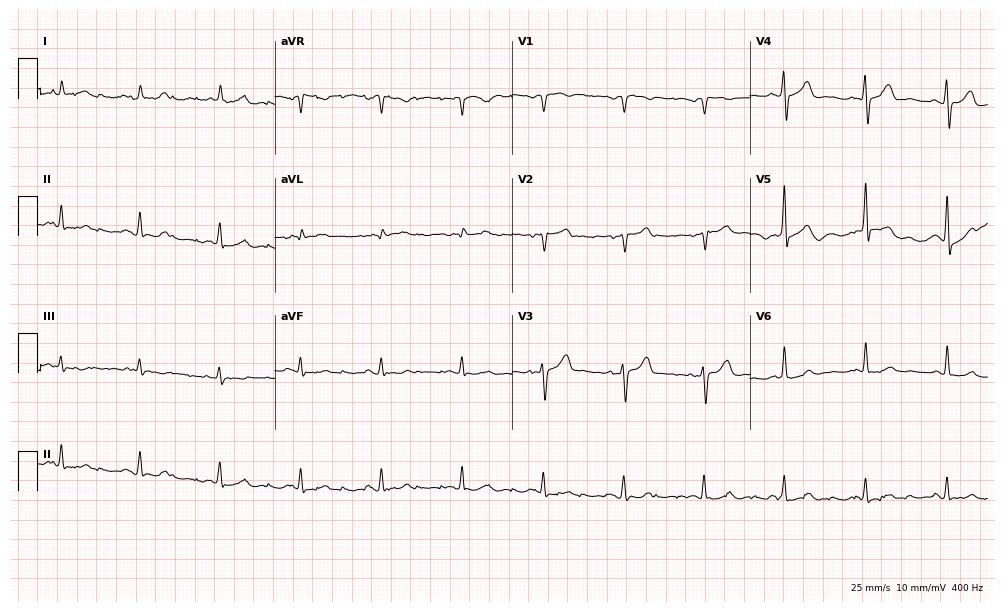
12-lead ECG from a man, 72 years old. Recorded interpretation: within normal limits.